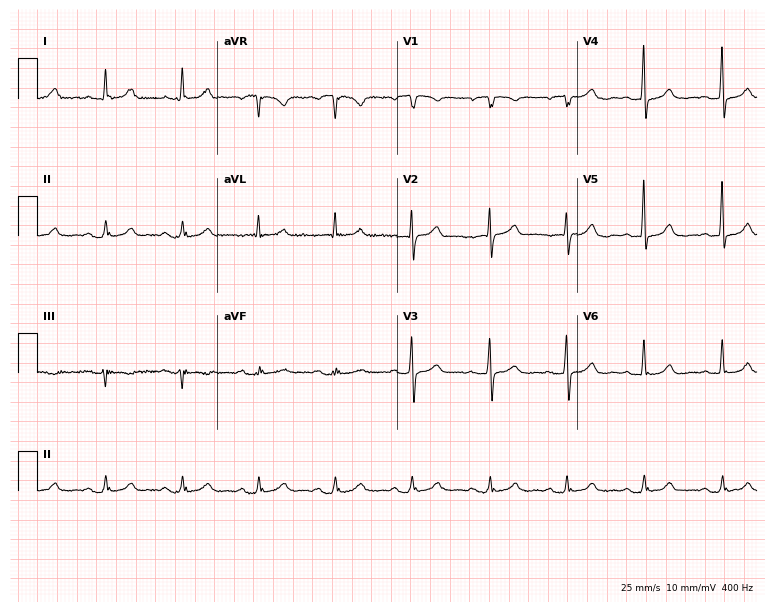
12-lead ECG from a female, 78 years old. Labelled as a normal ECG.